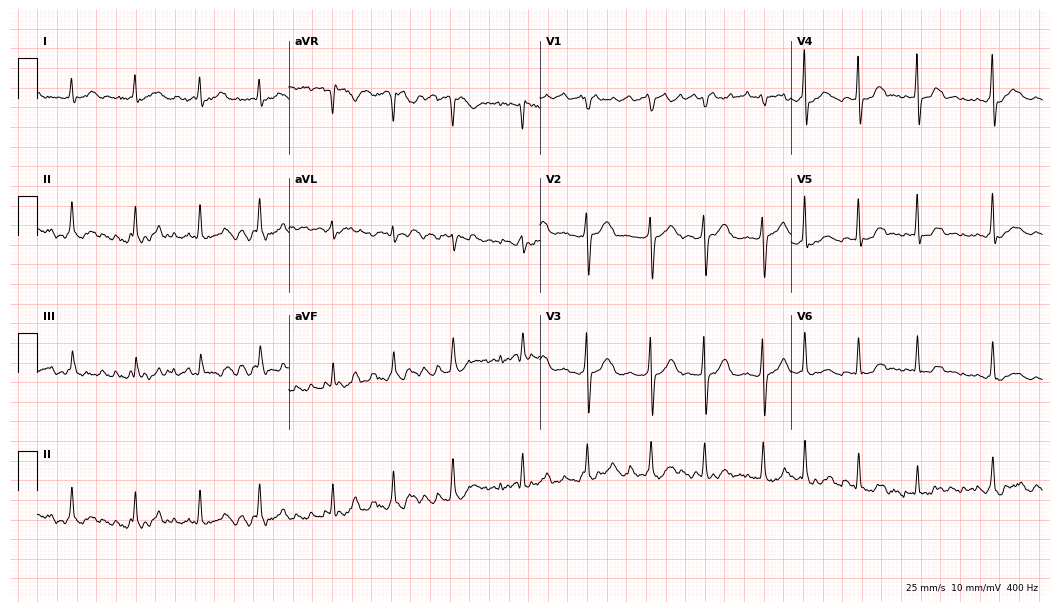
12-lead ECG (10.2-second recording at 400 Hz) from a female patient, 73 years old. Findings include atrial fibrillation.